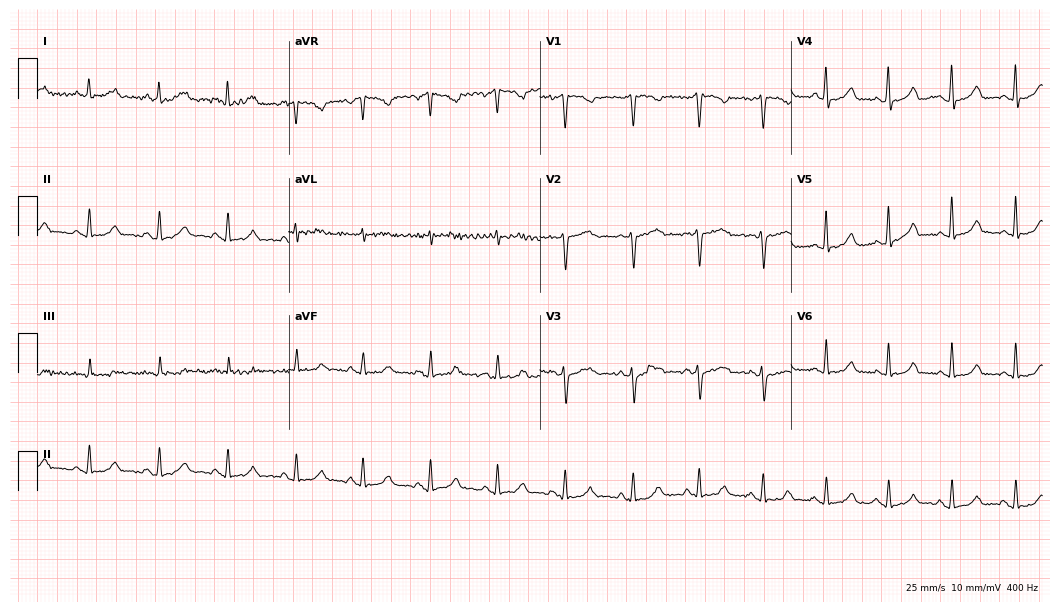
Standard 12-lead ECG recorded from a 36-year-old female patient. None of these six findings is recorded: first-degree AV block, right bundle branch block, left bundle branch block, sinus bradycardia, atrial fibrillation, sinus tachycardia.